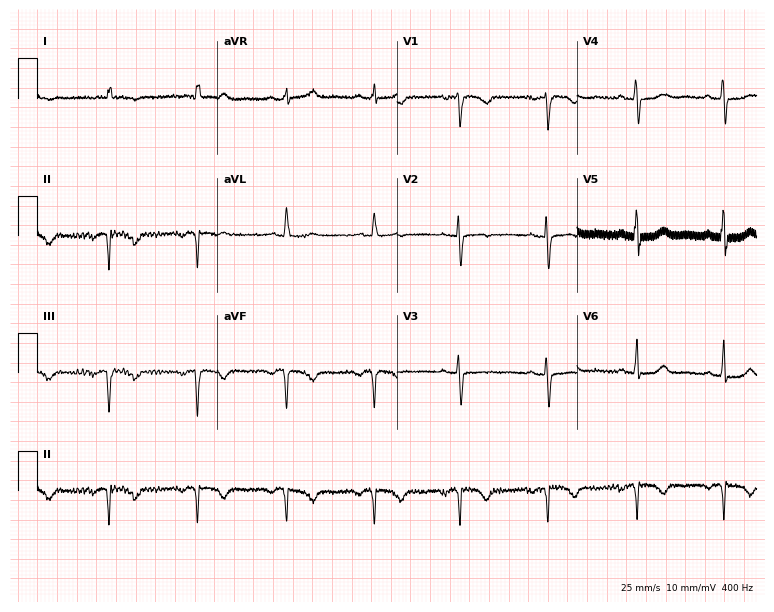
Standard 12-lead ECG recorded from a female patient, 54 years old. None of these six findings is recorded: first-degree AV block, right bundle branch block, left bundle branch block, sinus bradycardia, atrial fibrillation, sinus tachycardia. Findings outside these six are not listed.